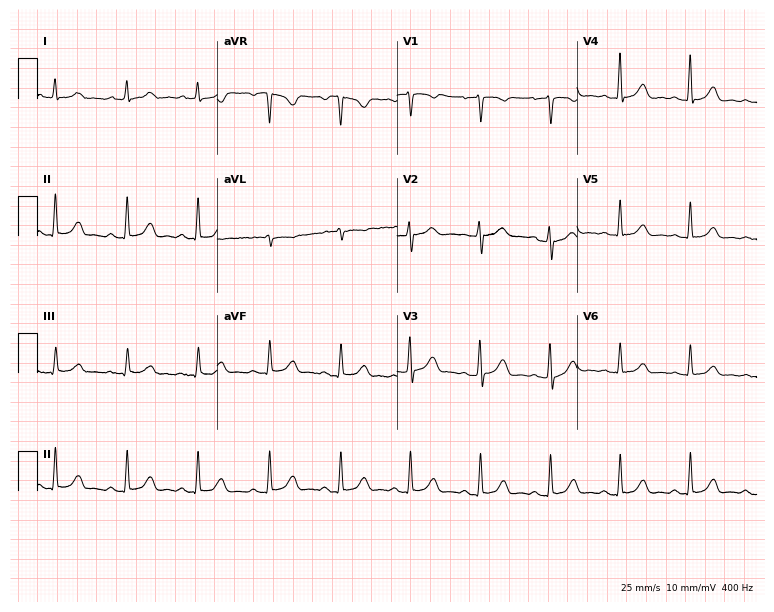
Standard 12-lead ECG recorded from a man, 46 years old (7.3-second recording at 400 Hz). None of these six findings is recorded: first-degree AV block, right bundle branch block (RBBB), left bundle branch block (LBBB), sinus bradycardia, atrial fibrillation (AF), sinus tachycardia. Only these six findings were labelled.